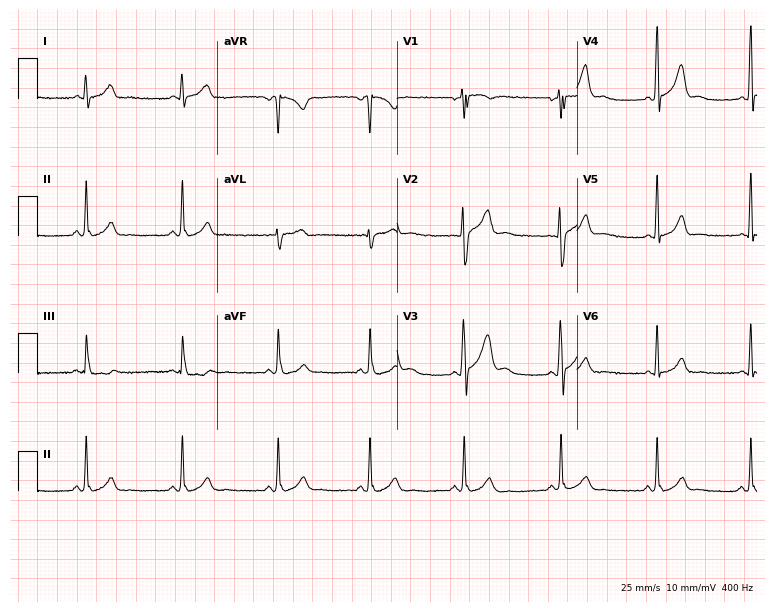
ECG — a male, 21 years old. Labelled as a normal ECG.